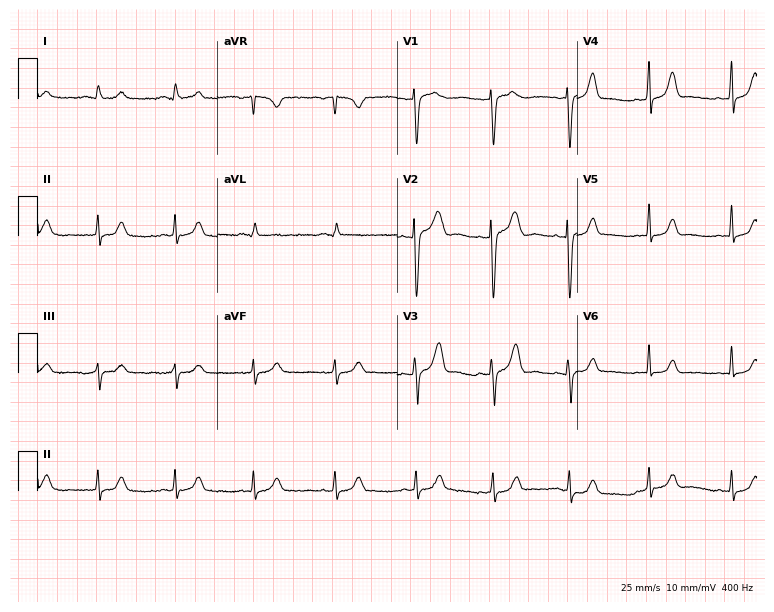
Standard 12-lead ECG recorded from a woman, 48 years old (7.3-second recording at 400 Hz). Read as a normal ECG.